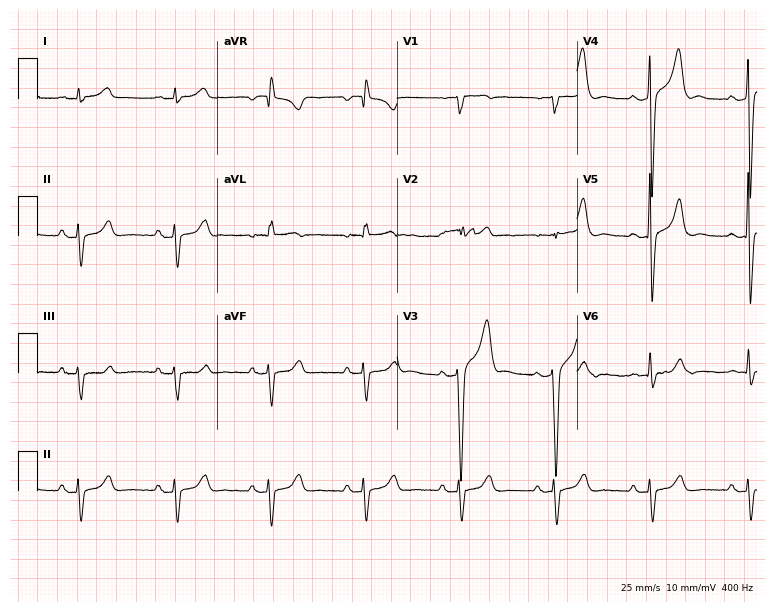
ECG (7.3-second recording at 400 Hz) — a 62-year-old male. Screened for six findings — first-degree AV block, right bundle branch block, left bundle branch block, sinus bradycardia, atrial fibrillation, sinus tachycardia — none is recorded.